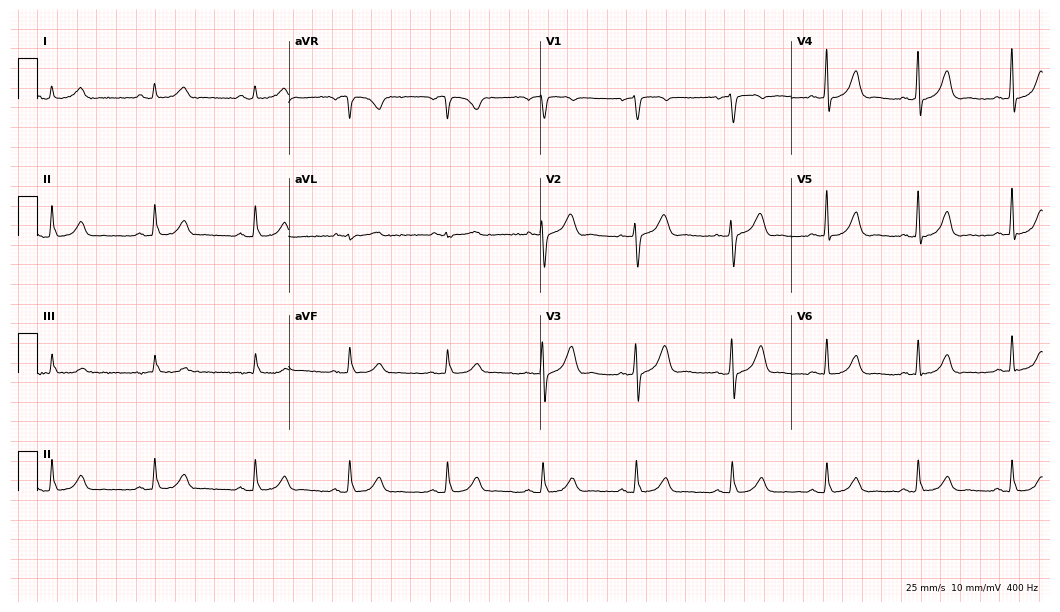
Standard 12-lead ECG recorded from a male patient, 60 years old. None of these six findings is recorded: first-degree AV block, right bundle branch block (RBBB), left bundle branch block (LBBB), sinus bradycardia, atrial fibrillation (AF), sinus tachycardia.